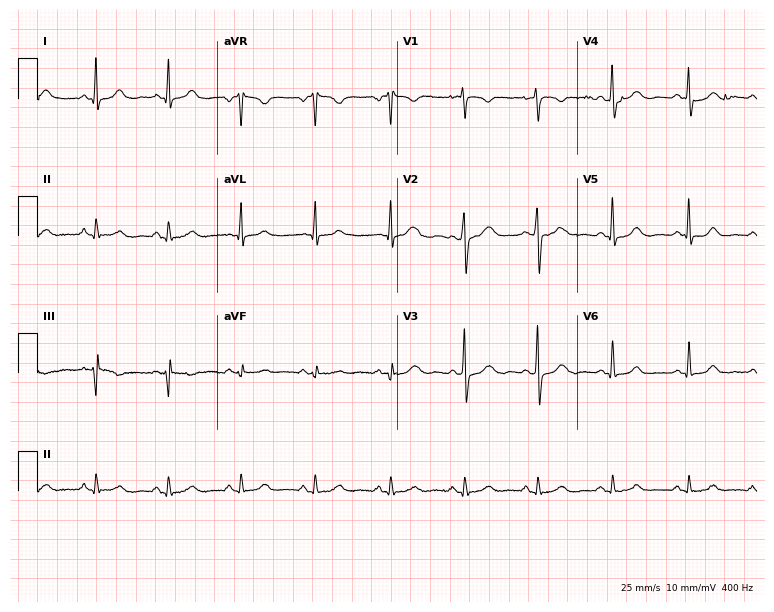
12-lead ECG from a male patient, 57 years old (7.3-second recording at 400 Hz). Recorded interpretation: within normal limits.